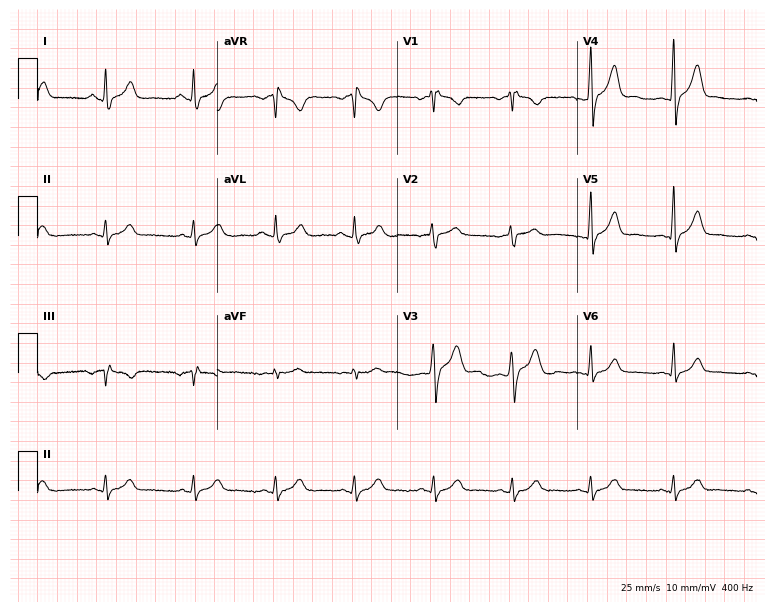
12-lead ECG from a 40-year-old man. Screened for six findings — first-degree AV block, right bundle branch block (RBBB), left bundle branch block (LBBB), sinus bradycardia, atrial fibrillation (AF), sinus tachycardia — none is recorded.